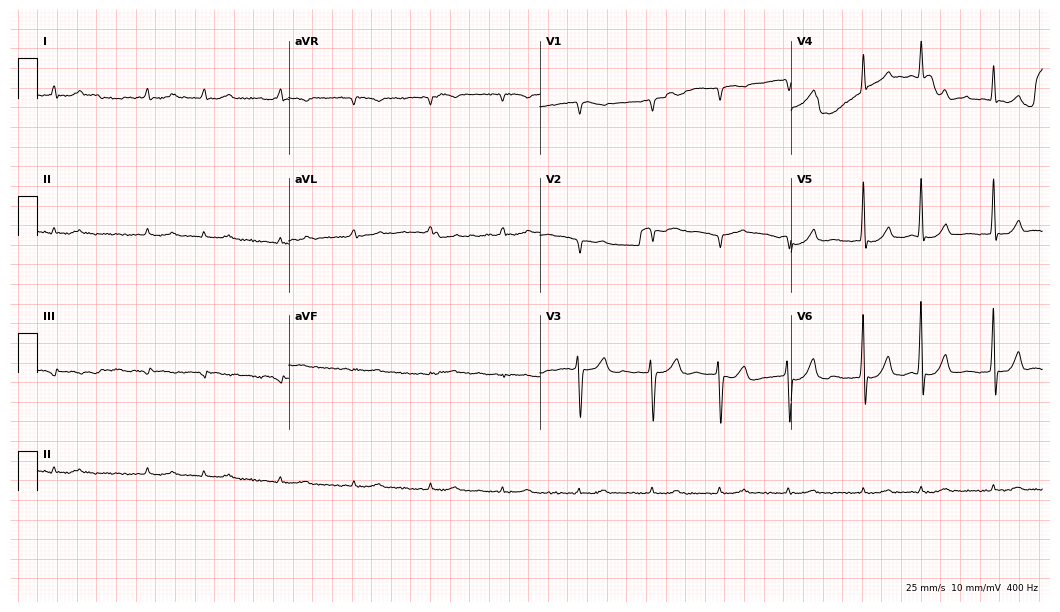
ECG (10.2-second recording at 400 Hz) — a male patient, 84 years old. Findings include atrial fibrillation (AF).